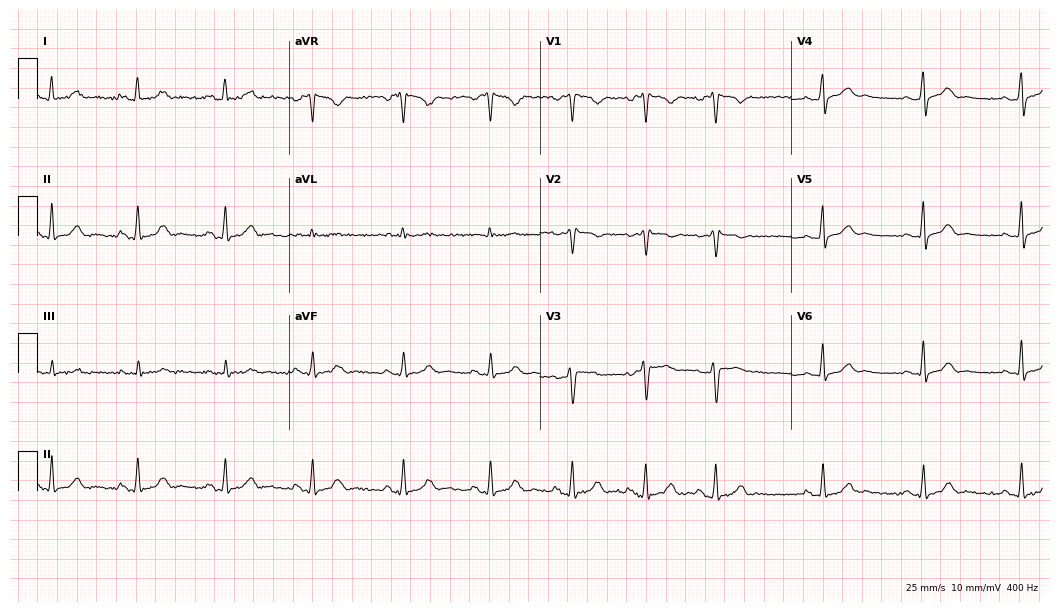
Resting 12-lead electrocardiogram. Patient: a woman, 28 years old. Read as a normal ECG.